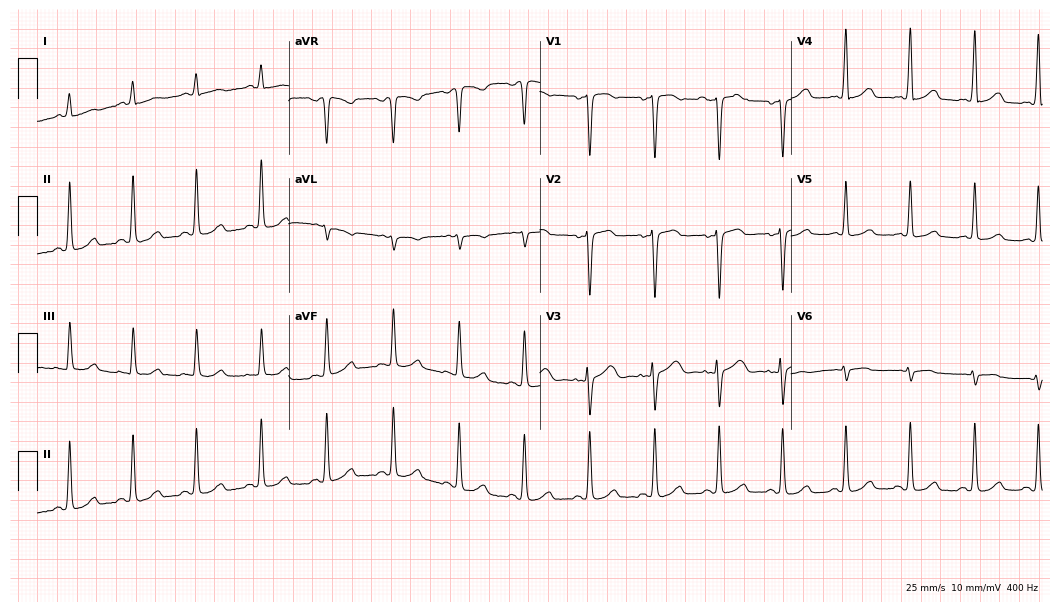
12-lead ECG from a woman, 39 years old (10.2-second recording at 400 Hz). No first-degree AV block, right bundle branch block (RBBB), left bundle branch block (LBBB), sinus bradycardia, atrial fibrillation (AF) or sinus tachycardia recorded for this tracing. Findings outside these six are not listed.